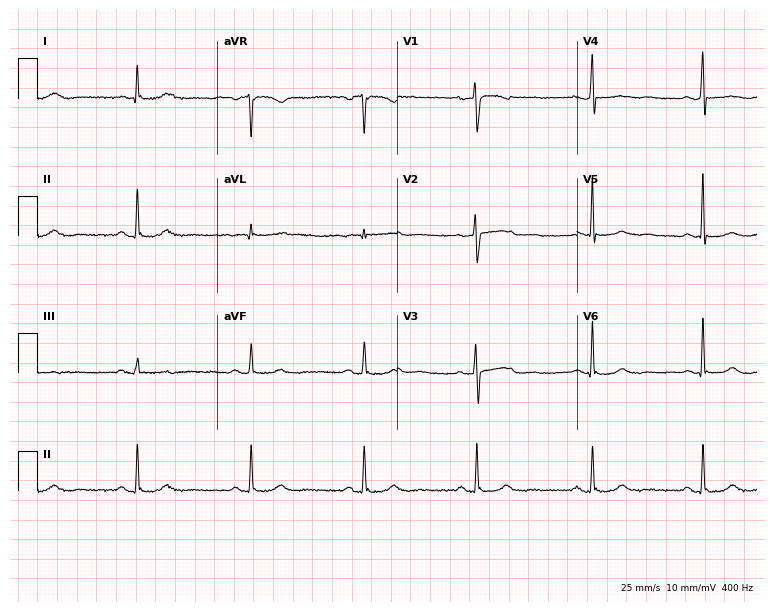
Electrocardiogram, a 68-year-old female. Overall reading on record: normal ECG.